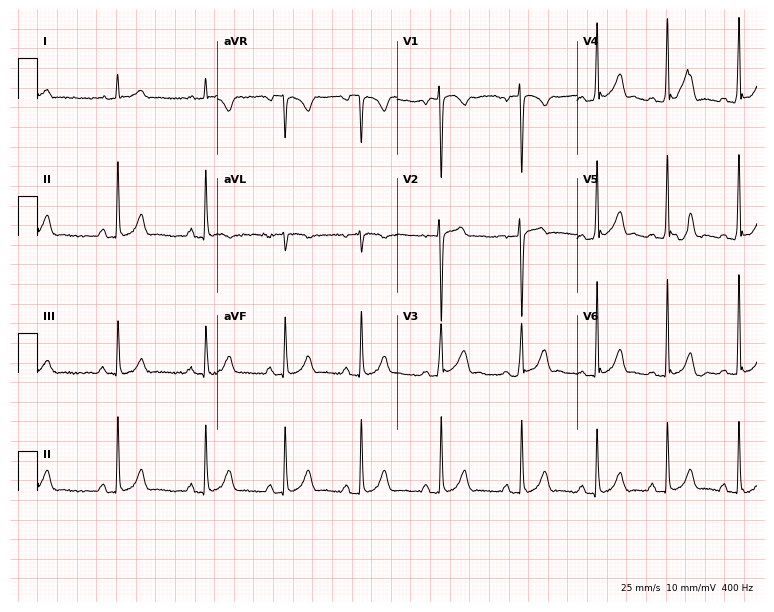
Electrocardiogram (7.3-second recording at 400 Hz), a male, 21 years old. Overall reading on record: normal ECG.